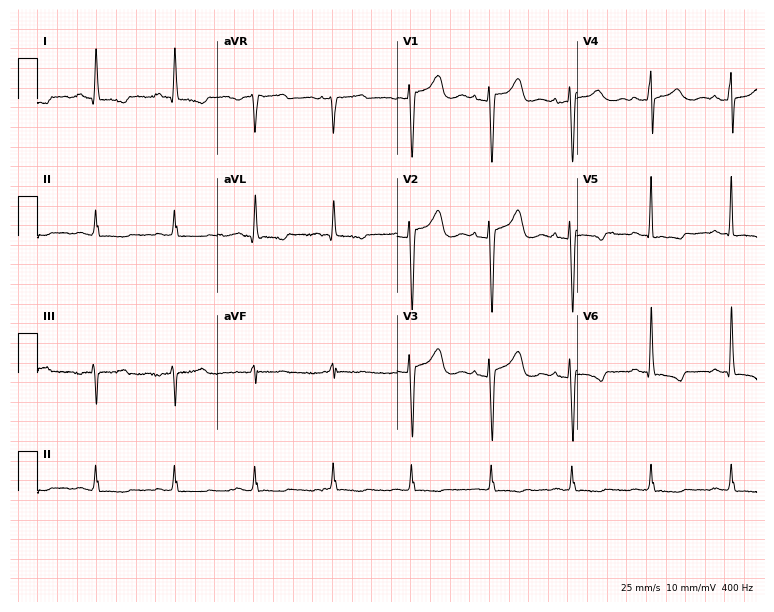
Standard 12-lead ECG recorded from a female, 56 years old (7.3-second recording at 400 Hz). None of these six findings is recorded: first-degree AV block, right bundle branch block (RBBB), left bundle branch block (LBBB), sinus bradycardia, atrial fibrillation (AF), sinus tachycardia.